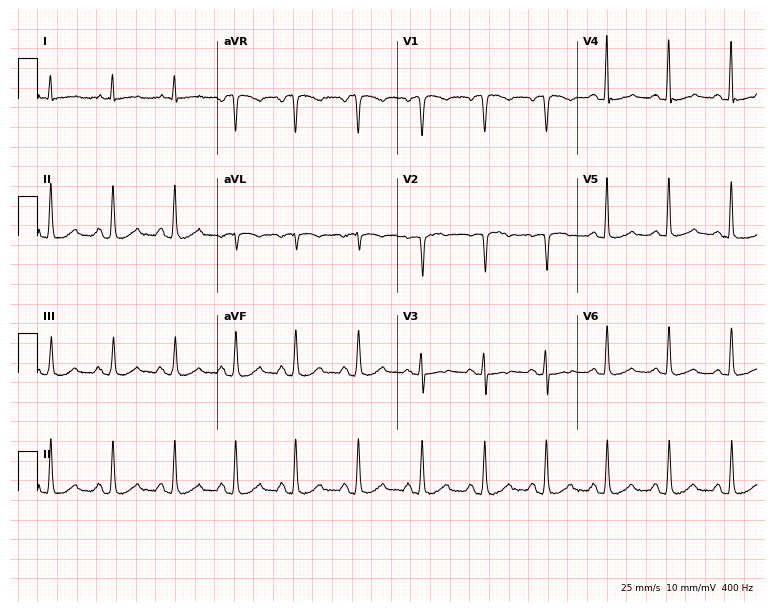
Electrocardiogram (7.3-second recording at 400 Hz), a female, 55 years old. Of the six screened findings (first-degree AV block, right bundle branch block (RBBB), left bundle branch block (LBBB), sinus bradycardia, atrial fibrillation (AF), sinus tachycardia), none is recorded.